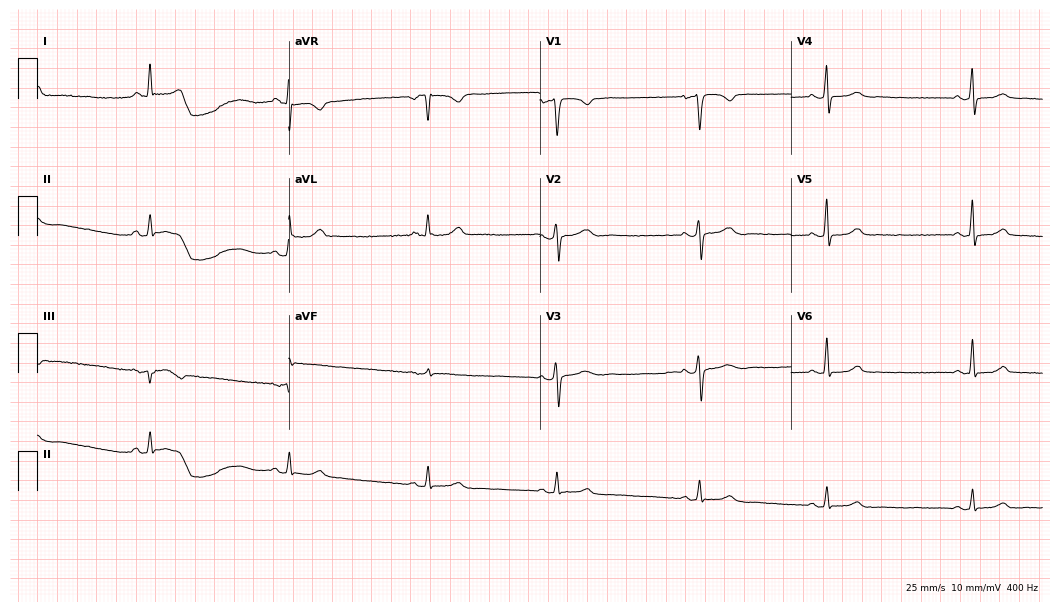
ECG — a female, 45 years old. Findings include sinus bradycardia (a sinus rate of 50 beats per minute or less).